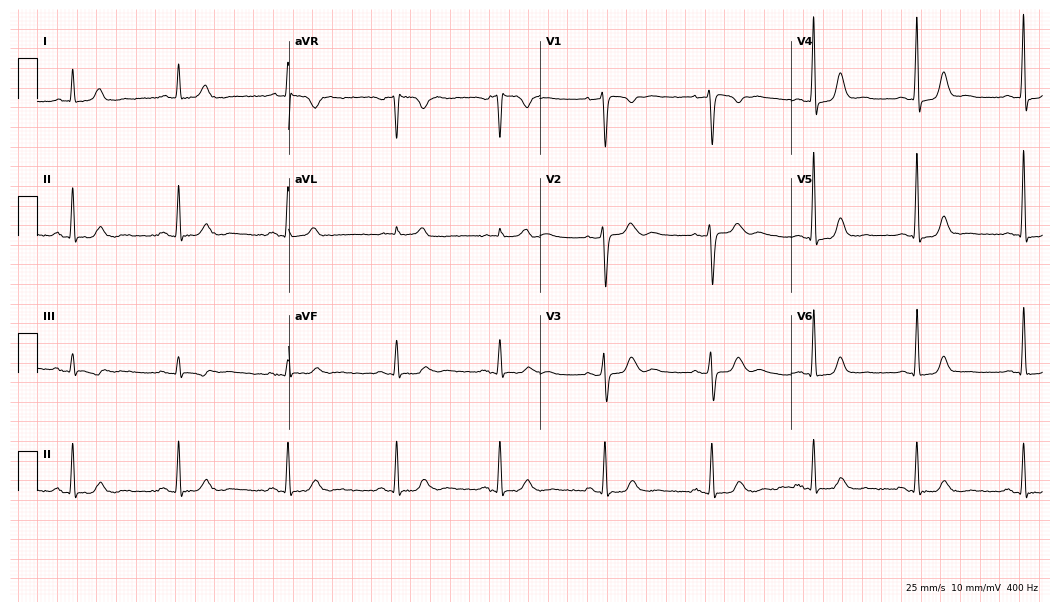
12-lead ECG from a woman, 48 years old. Labelled as a normal ECG.